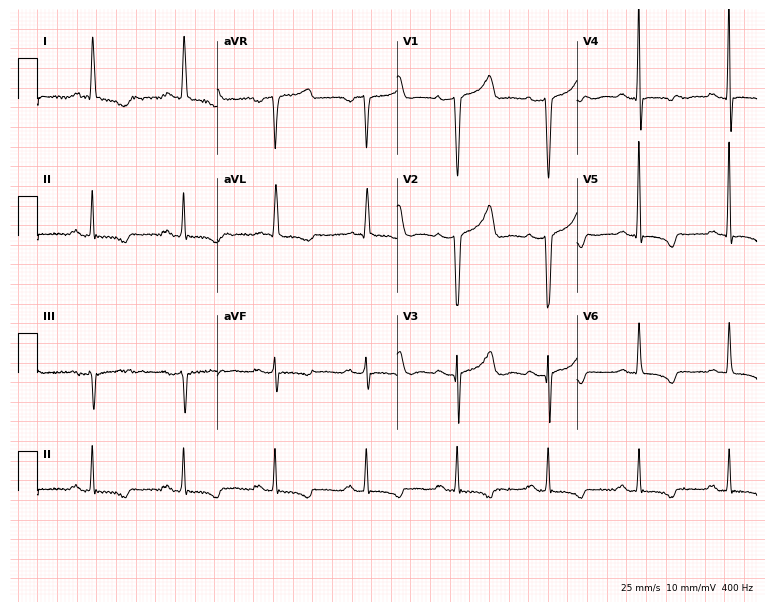
ECG — a 62-year-old female patient. Screened for six findings — first-degree AV block, right bundle branch block, left bundle branch block, sinus bradycardia, atrial fibrillation, sinus tachycardia — none is recorded.